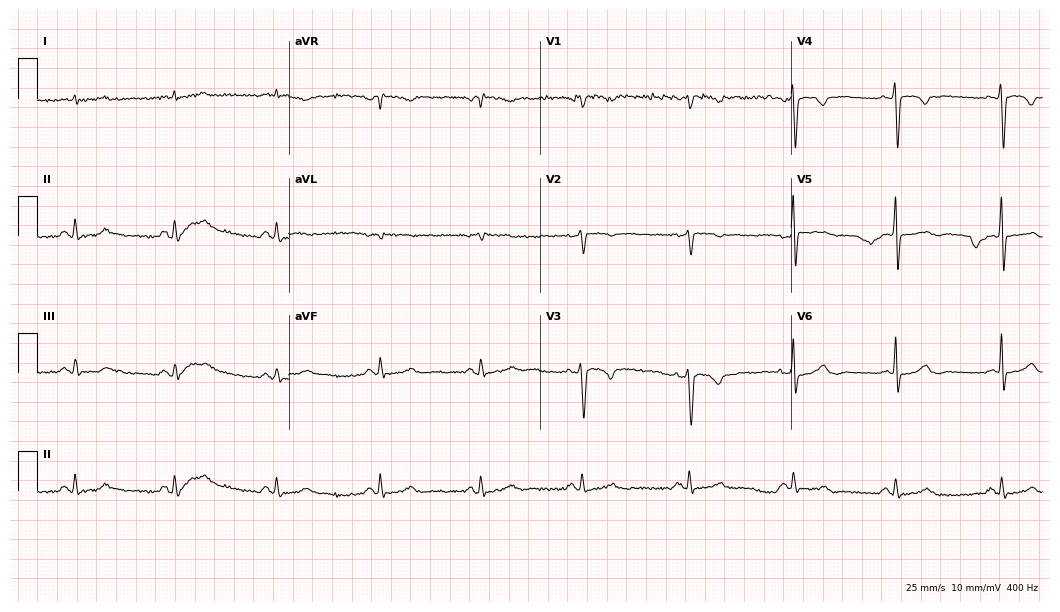
Resting 12-lead electrocardiogram (10.2-second recording at 400 Hz). Patient: a male, 47 years old. None of these six findings is recorded: first-degree AV block, right bundle branch block, left bundle branch block, sinus bradycardia, atrial fibrillation, sinus tachycardia. Only these six findings were labelled.